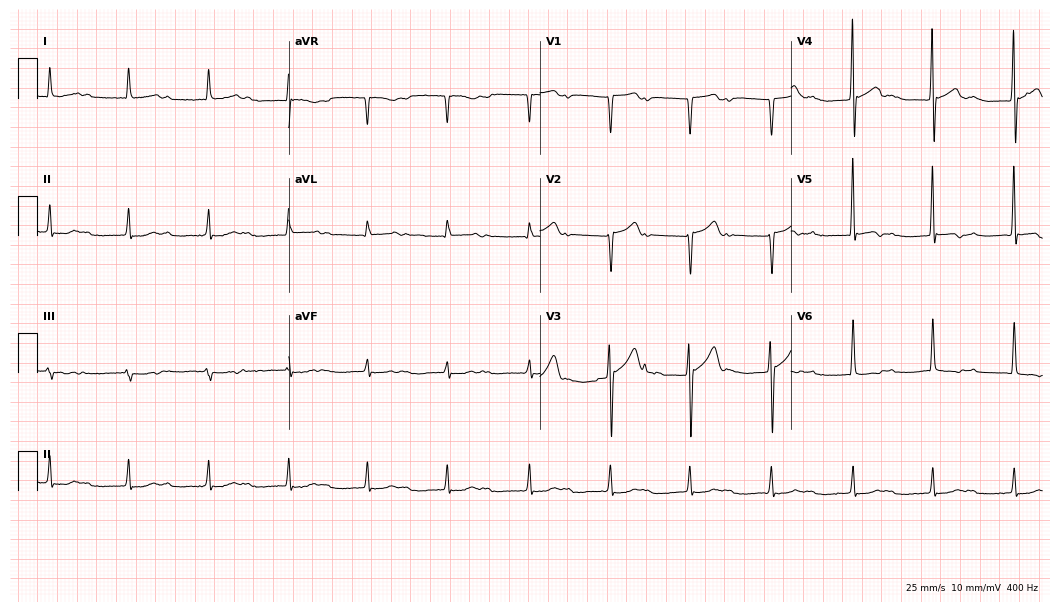
Resting 12-lead electrocardiogram (10.2-second recording at 400 Hz). Patient: a 76-year-old man. The tracing shows first-degree AV block.